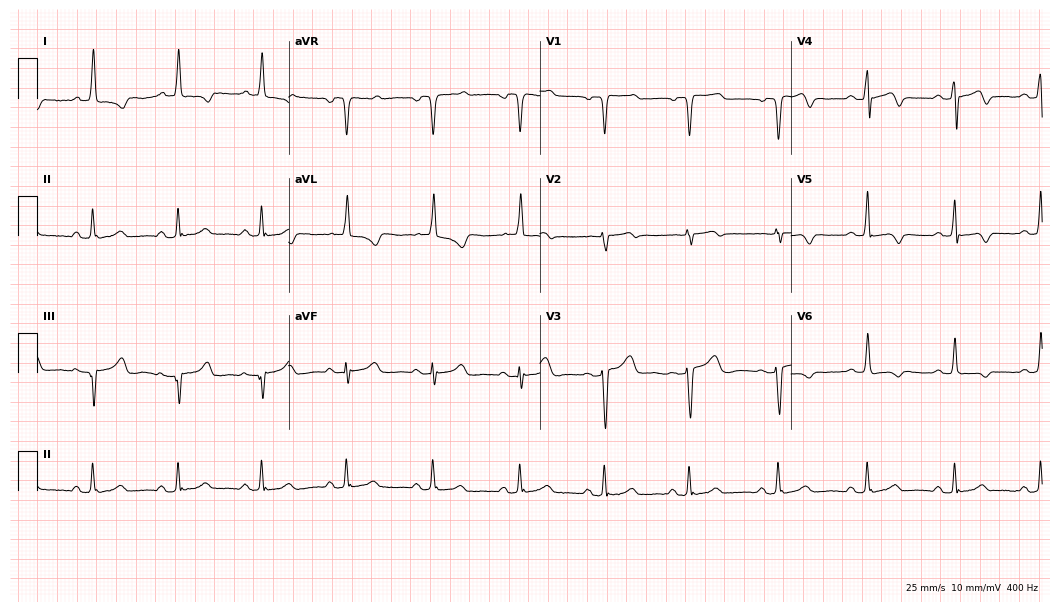
Electrocardiogram (10.2-second recording at 400 Hz), a 74-year-old woman. Of the six screened findings (first-degree AV block, right bundle branch block, left bundle branch block, sinus bradycardia, atrial fibrillation, sinus tachycardia), none is recorded. Other findings, if any, are not listed.